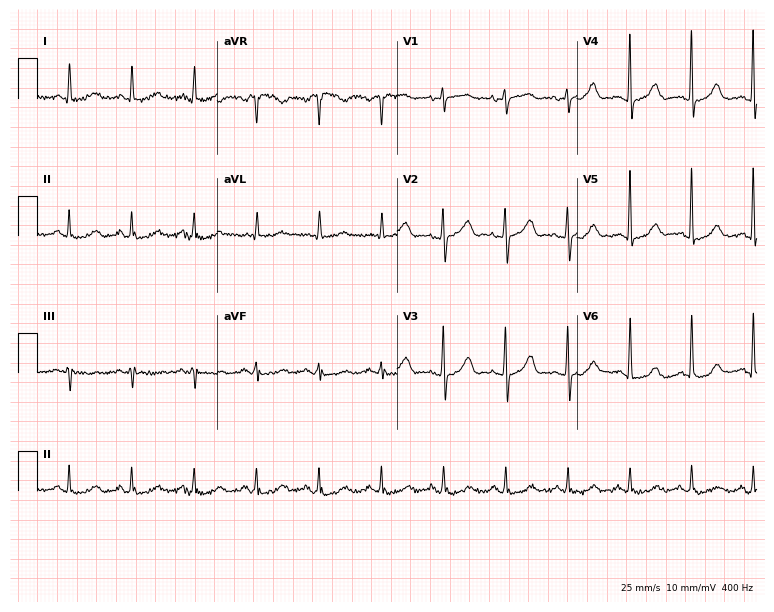
ECG — a 63-year-old female patient. Screened for six findings — first-degree AV block, right bundle branch block (RBBB), left bundle branch block (LBBB), sinus bradycardia, atrial fibrillation (AF), sinus tachycardia — none is recorded. Findings outside these six are not listed.